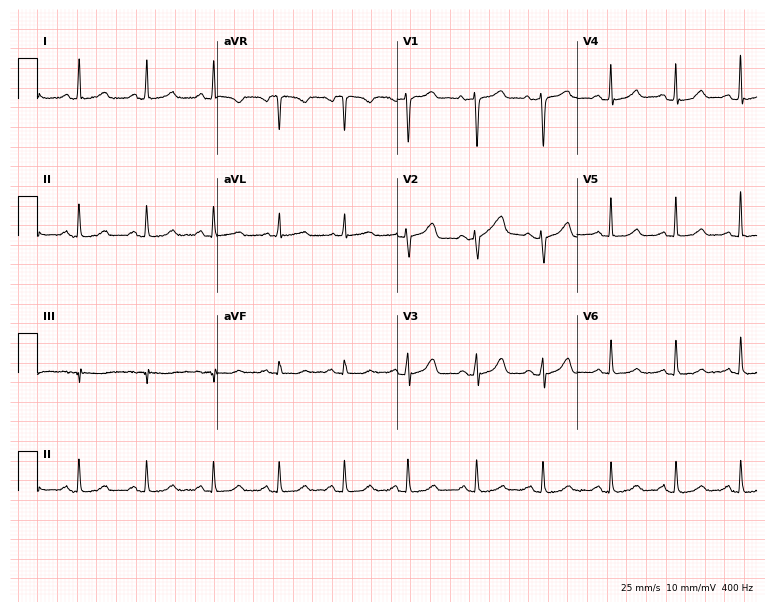
Resting 12-lead electrocardiogram (7.3-second recording at 400 Hz). Patient: a female, 57 years old. None of these six findings is recorded: first-degree AV block, right bundle branch block, left bundle branch block, sinus bradycardia, atrial fibrillation, sinus tachycardia.